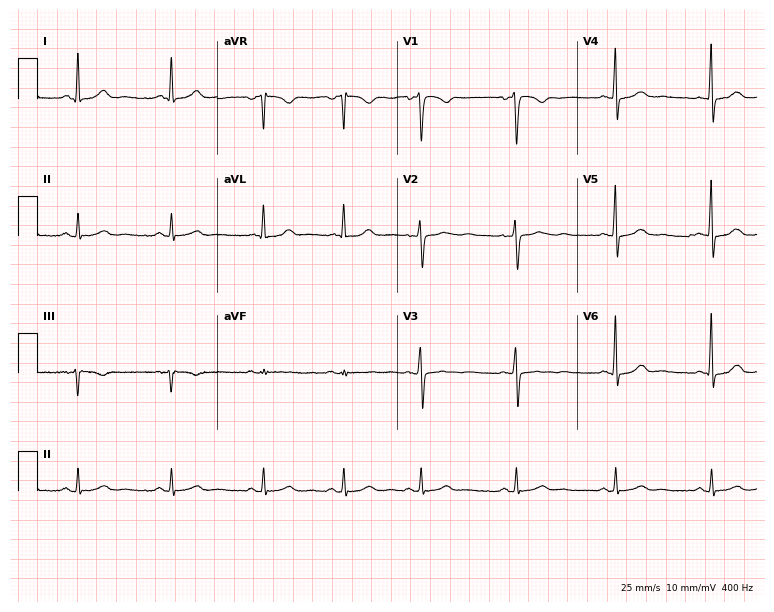
12-lead ECG from a woman, 33 years old. Labelled as a normal ECG.